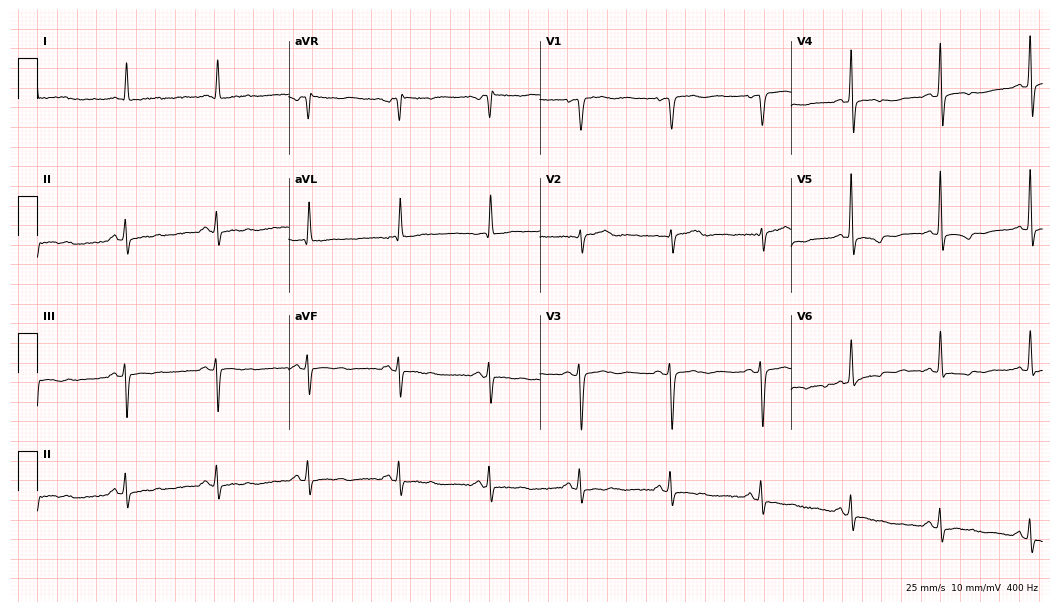
Standard 12-lead ECG recorded from a woman, 80 years old. None of these six findings is recorded: first-degree AV block, right bundle branch block (RBBB), left bundle branch block (LBBB), sinus bradycardia, atrial fibrillation (AF), sinus tachycardia.